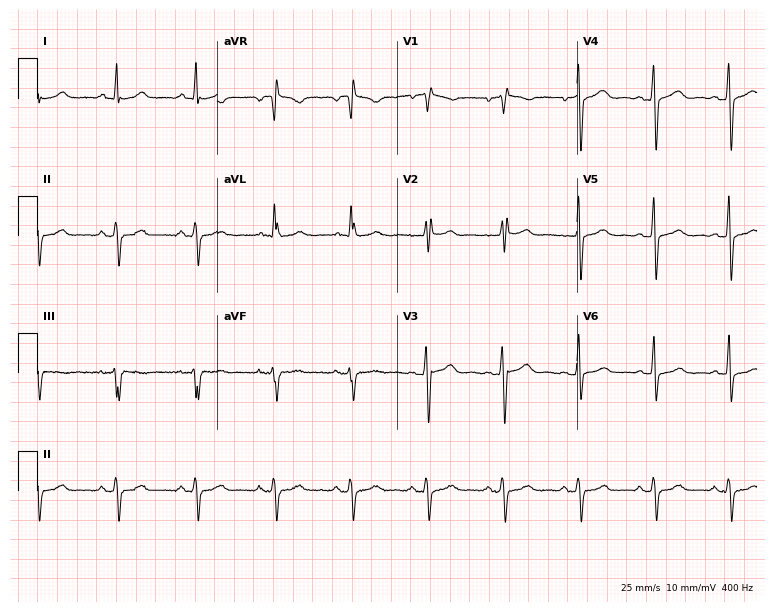
12-lead ECG from a female patient, 56 years old (7.3-second recording at 400 Hz). No first-degree AV block, right bundle branch block, left bundle branch block, sinus bradycardia, atrial fibrillation or sinus tachycardia recorded for this tracing.